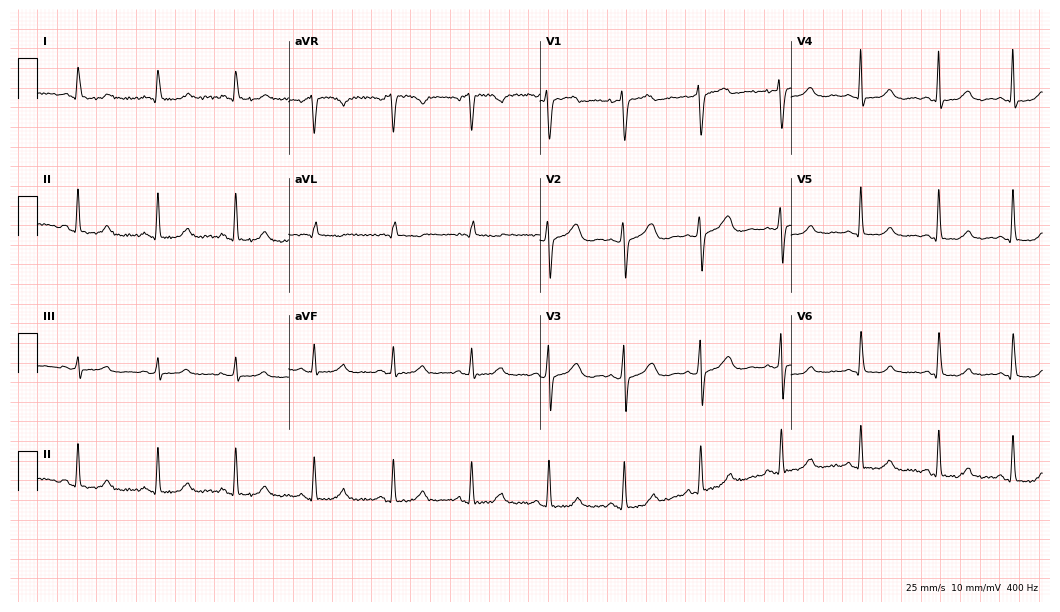
Electrocardiogram (10.2-second recording at 400 Hz), a 52-year-old female. Of the six screened findings (first-degree AV block, right bundle branch block, left bundle branch block, sinus bradycardia, atrial fibrillation, sinus tachycardia), none is recorded. Other findings, if any, are not listed.